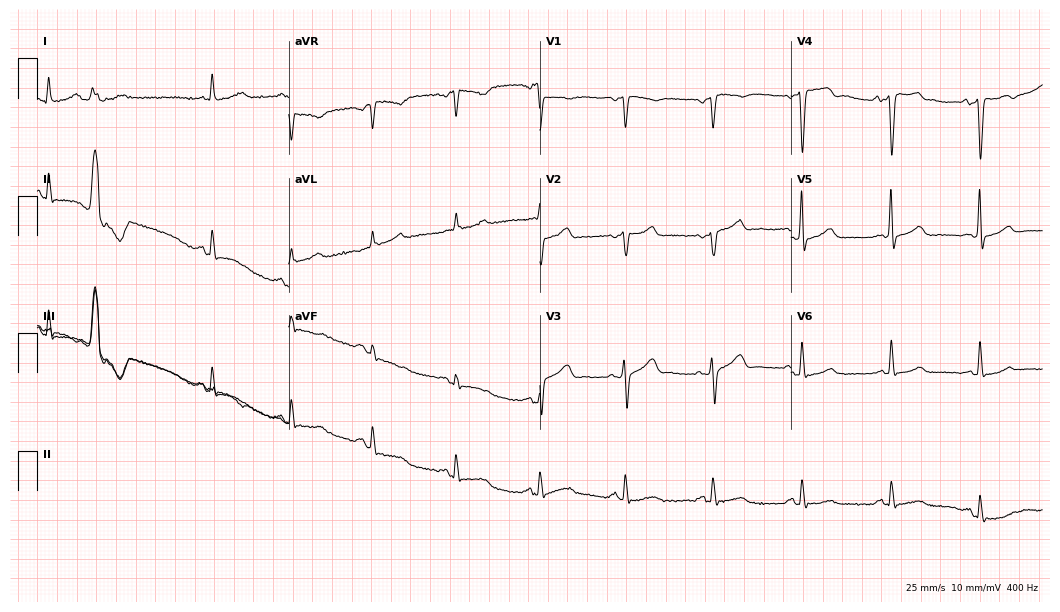
12-lead ECG from a 65-year-old woman. Screened for six findings — first-degree AV block, right bundle branch block, left bundle branch block, sinus bradycardia, atrial fibrillation, sinus tachycardia — none is recorded.